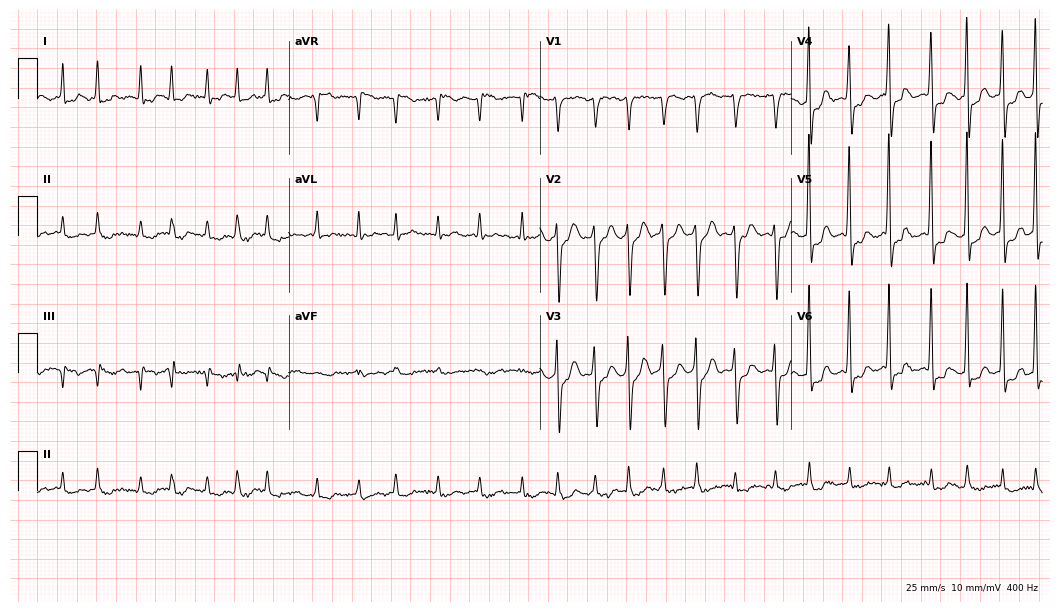
12-lead ECG from a male patient, 63 years old. Shows atrial fibrillation.